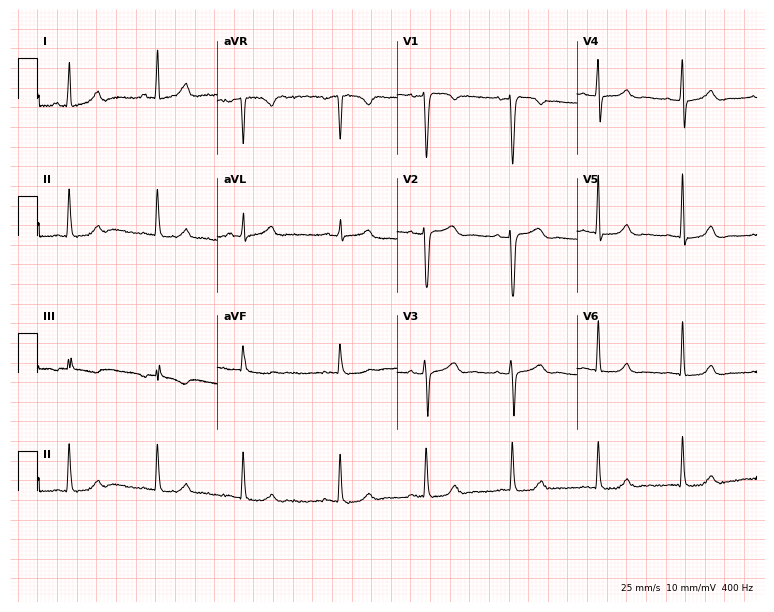
Electrocardiogram, a female patient, 37 years old. Overall reading on record: normal ECG.